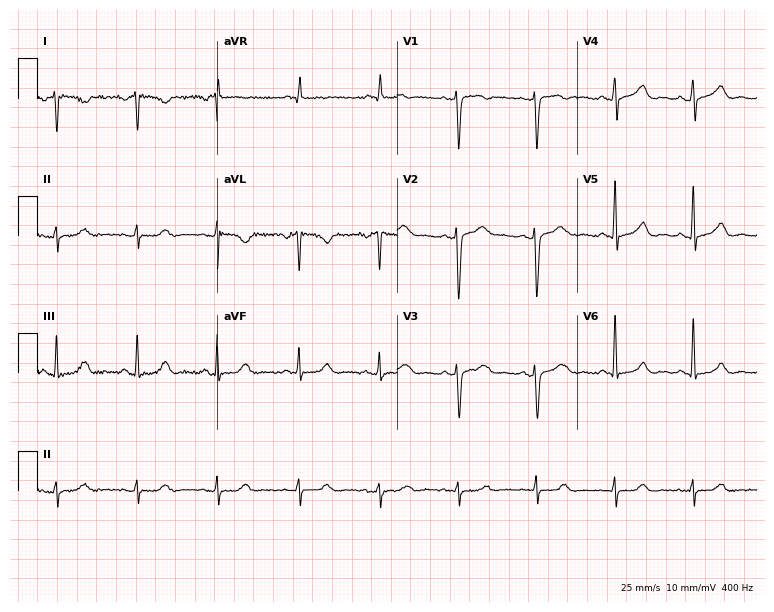
ECG — a woman, 49 years old. Screened for six findings — first-degree AV block, right bundle branch block (RBBB), left bundle branch block (LBBB), sinus bradycardia, atrial fibrillation (AF), sinus tachycardia — none is recorded. Findings outside these six are not listed.